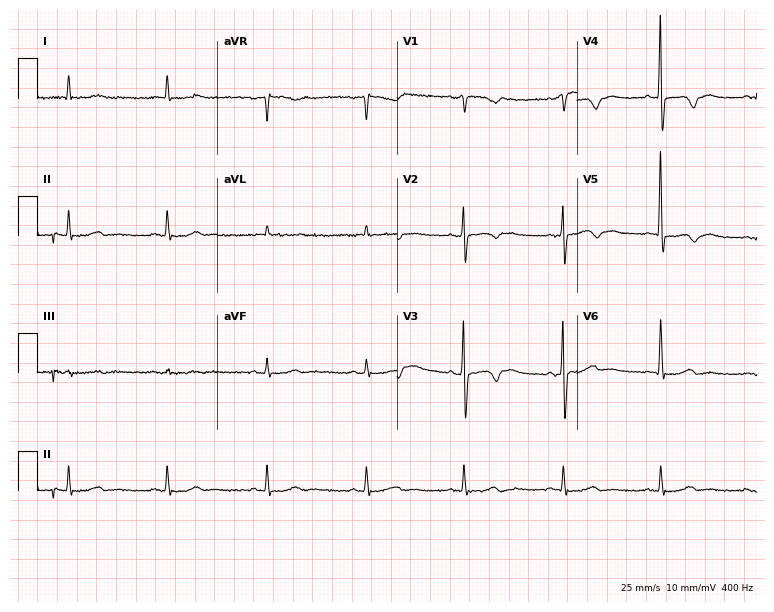
Electrocardiogram, an 85-year-old male patient. Of the six screened findings (first-degree AV block, right bundle branch block, left bundle branch block, sinus bradycardia, atrial fibrillation, sinus tachycardia), none is recorded.